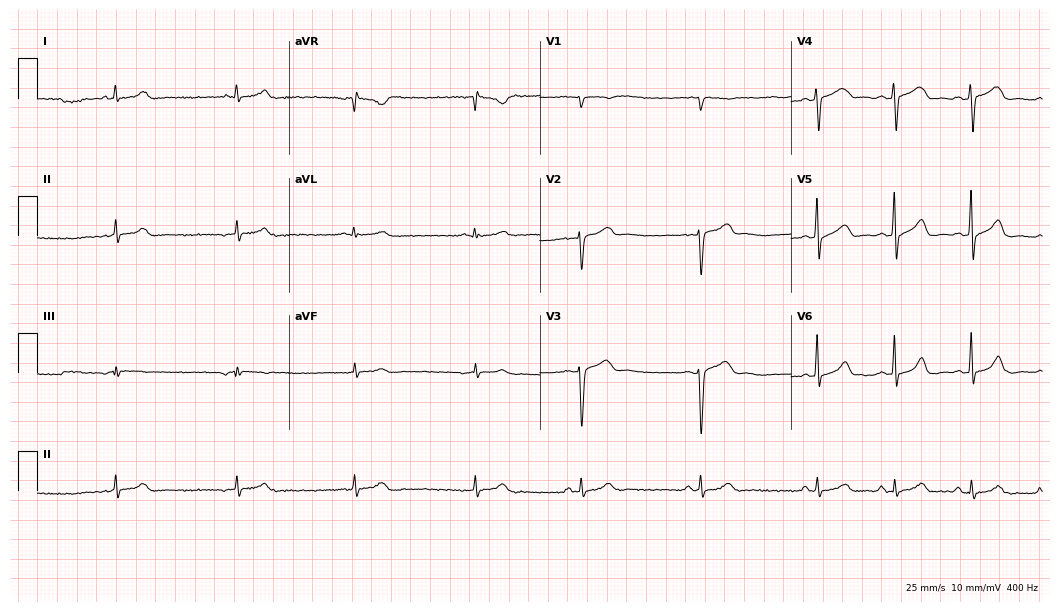
Resting 12-lead electrocardiogram (10.2-second recording at 400 Hz). Patient: a 30-year-old female. Read as a normal ECG.